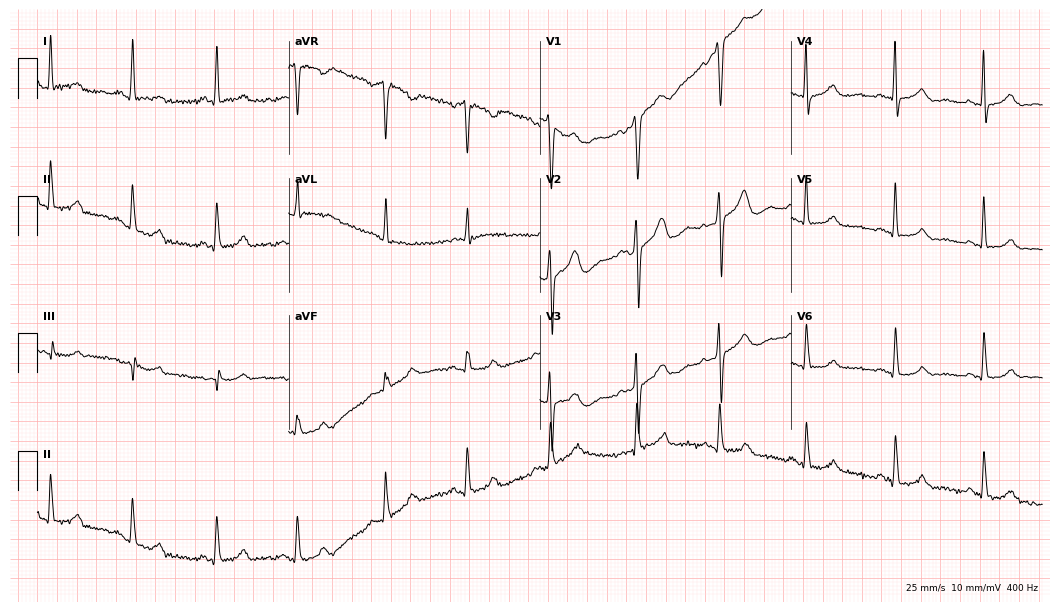
Standard 12-lead ECG recorded from a 34-year-old female patient. Read as a normal ECG.